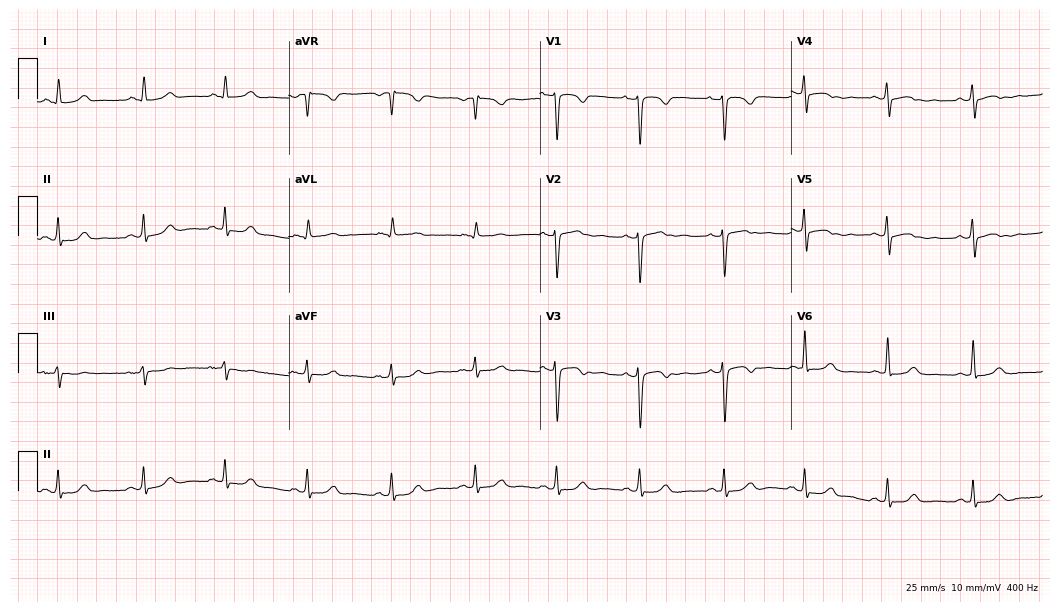
12-lead ECG from a female, 30 years old (10.2-second recording at 400 Hz). No first-degree AV block, right bundle branch block, left bundle branch block, sinus bradycardia, atrial fibrillation or sinus tachycardia recorded for this tracing.